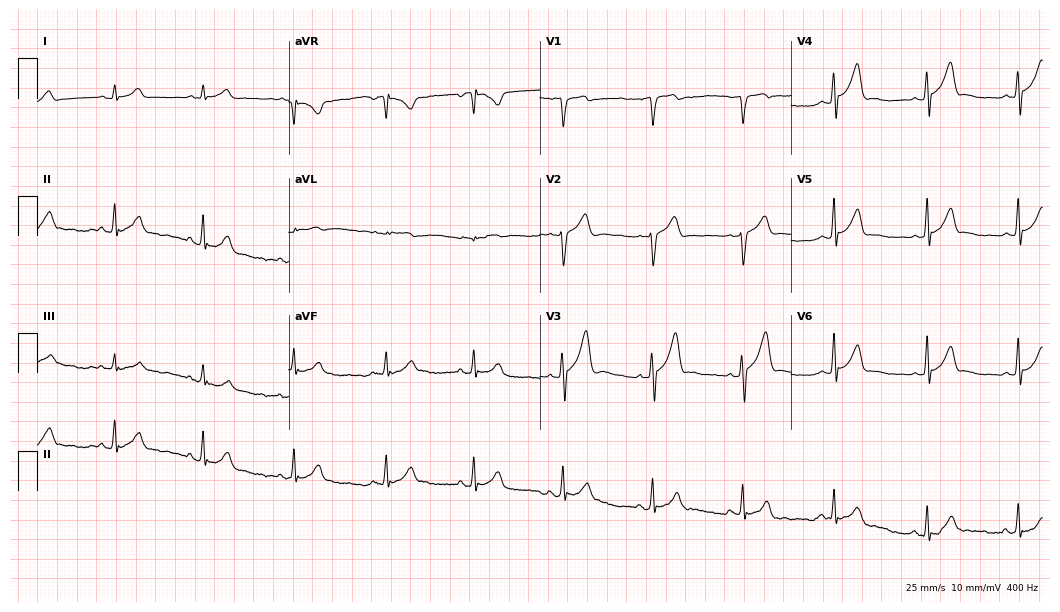
Standard 12-lead ECG recorded from a man, 48 years old (10.2-second recording at 400 Hz). Read as a normal ECG.